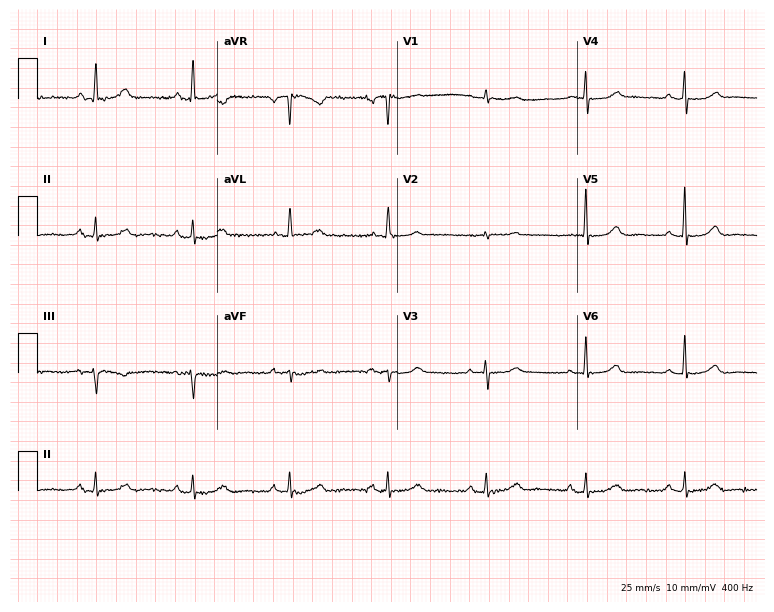
Resting 12-lead electrocardiogram (7.3-second recording at 400 Hz). Patient: a 77-year-old female. Read as a normal ECG.